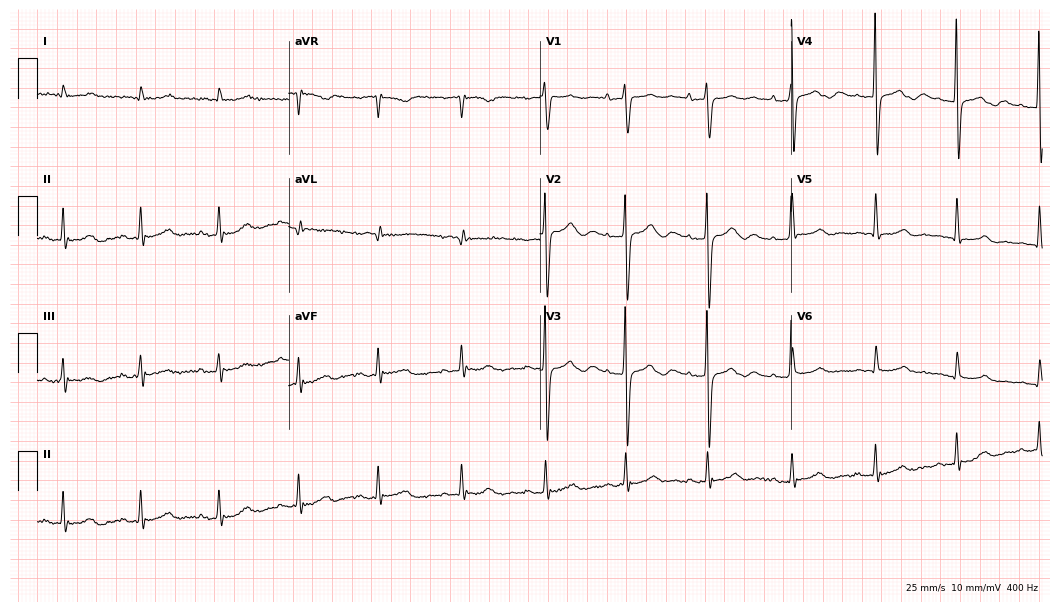
Standard 12-lead ECG recorded from a 76-year-old woman. Read as a normal ECG.